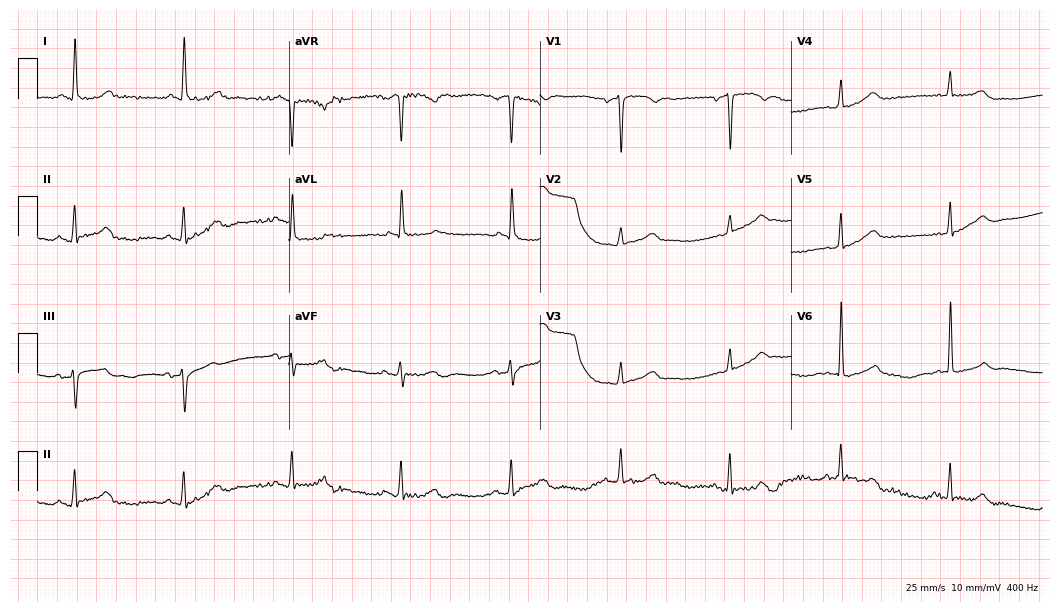
12-lead ECG from a 75-year-old female patient (10.2-second recording at 400 Hz). No first-degree AV block, right bundle branch block, left bundle branch block, sinus bradycardia, atrial fibrillation or sinus tachycardia recorded for this tracing. Only these six findings were labelled.